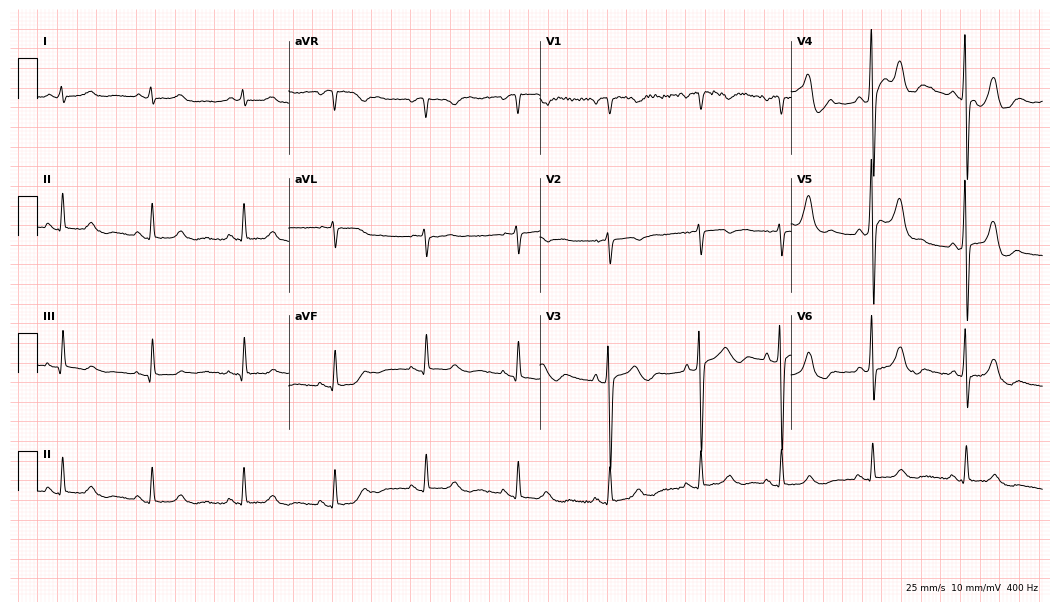
Electrocardiogram, an 83-year-old male. Of the six screened findings (first-degree AV block, right bundle branch block, left bundle branch block, sinus bradycardia, atrial fibrillation, sinus tachycardia), none is recorded.